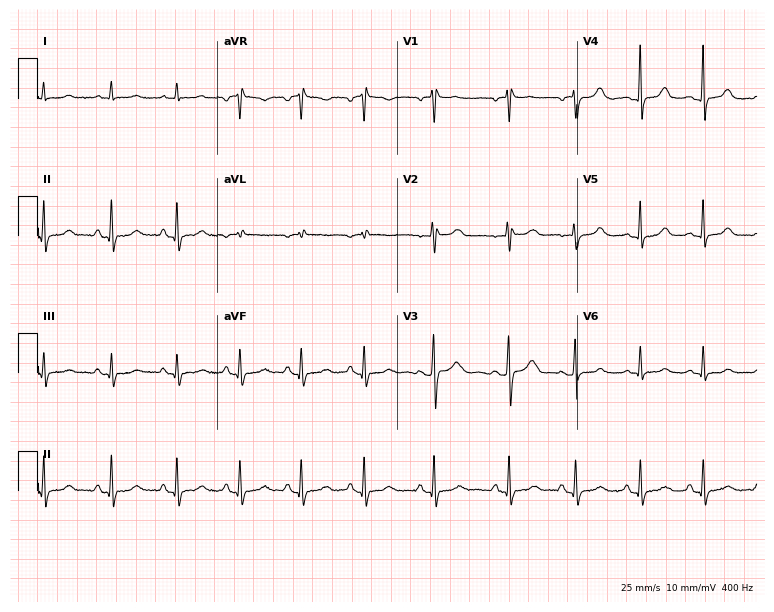
Resting 12-lead electrocardiogram. Patient: a woman, 20 years old. Read as a normal ECG.